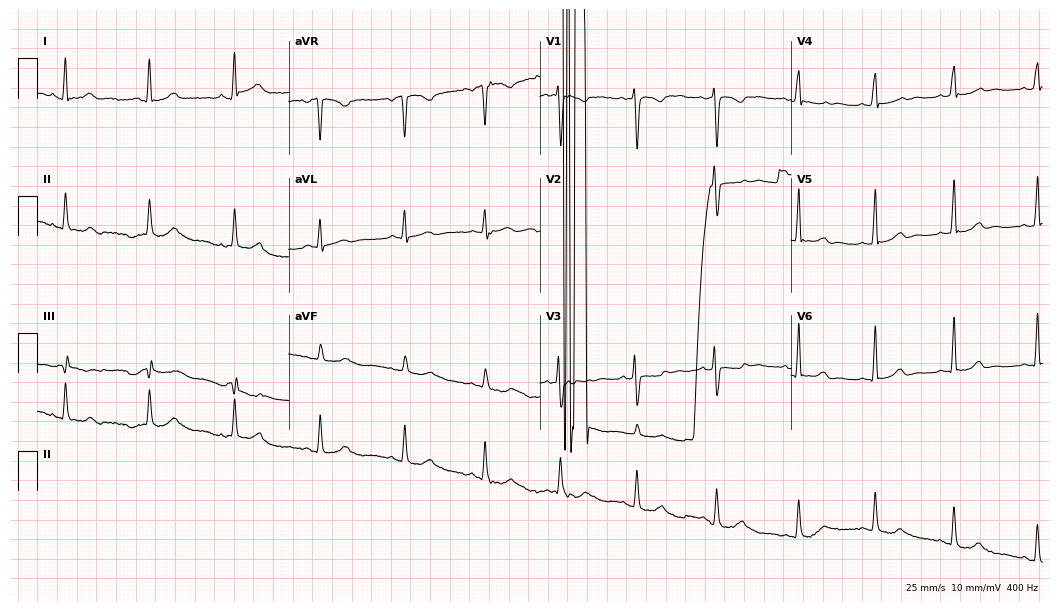
Standard 12-lead ECG recorded from a female patient, 25 years old (10.2-second recording at 400 Hz). The tracing shows atrial fibrillation (AF).